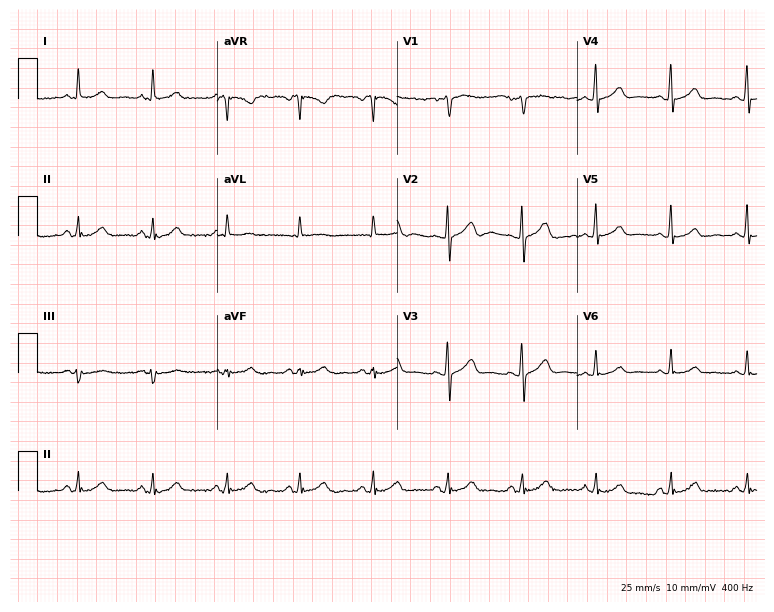
Standard 12-lead ECG recorded from a 69-year-old female (7.3-second recording at 400 Hz). Read as a normal ECG.